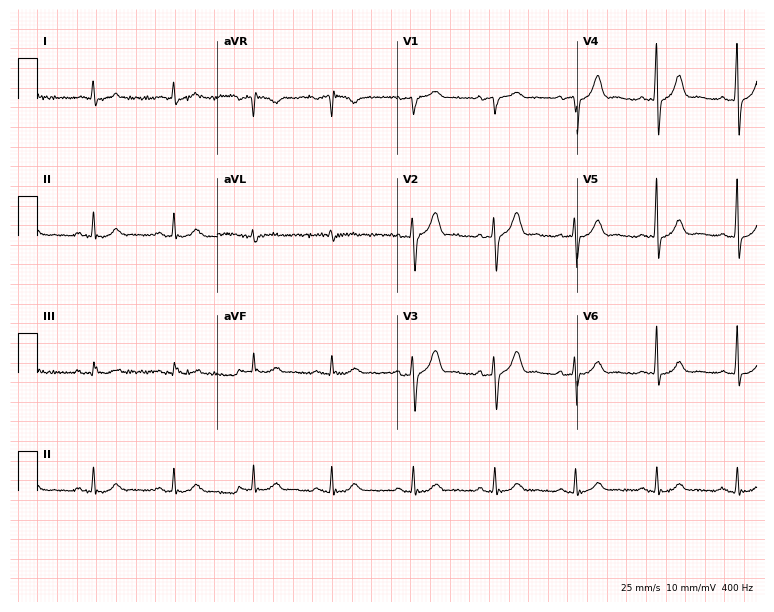
ECG (7.3-second recording at 400 Hz) — an 80-year-old female patient. Labelled as a normal ECG.